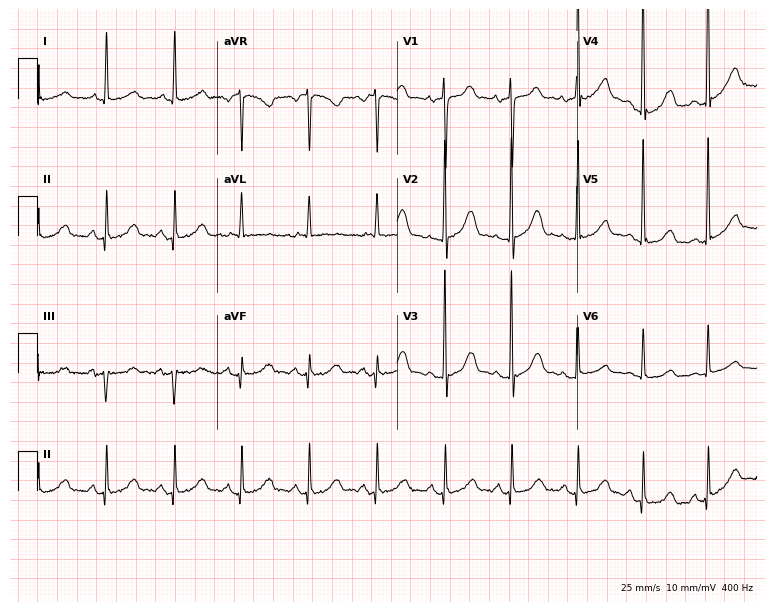
Electrocardiogram (7.3-second recording at 400 Hz), a 76-year-old woman. Overall reading on record: normal ECG.